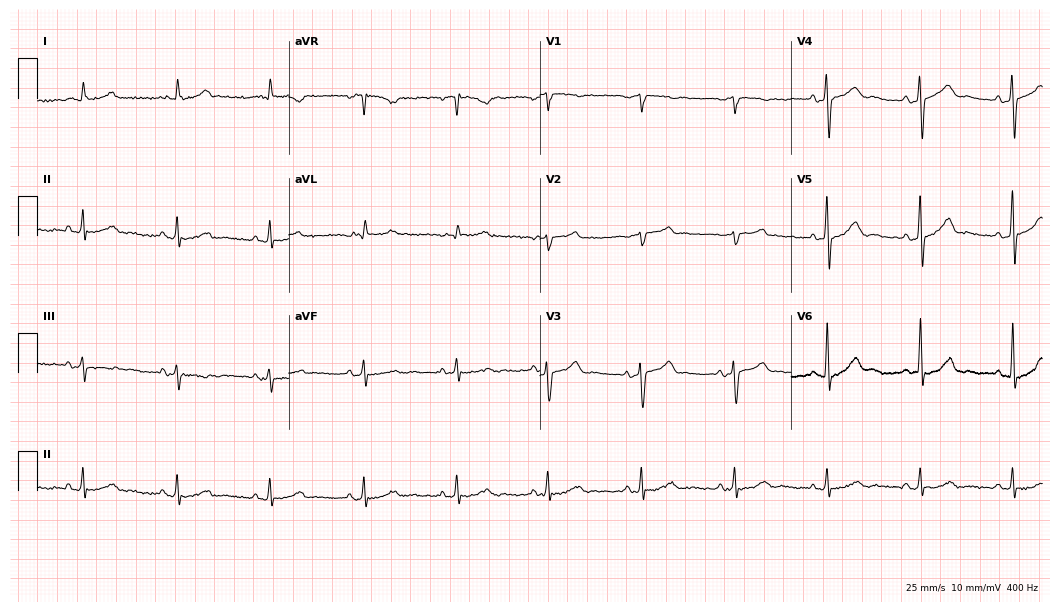
Electrocardiogram (10.2-second recording at 400 Hz), a 76-year-old male patient. Overall reading on record: normal ECG.